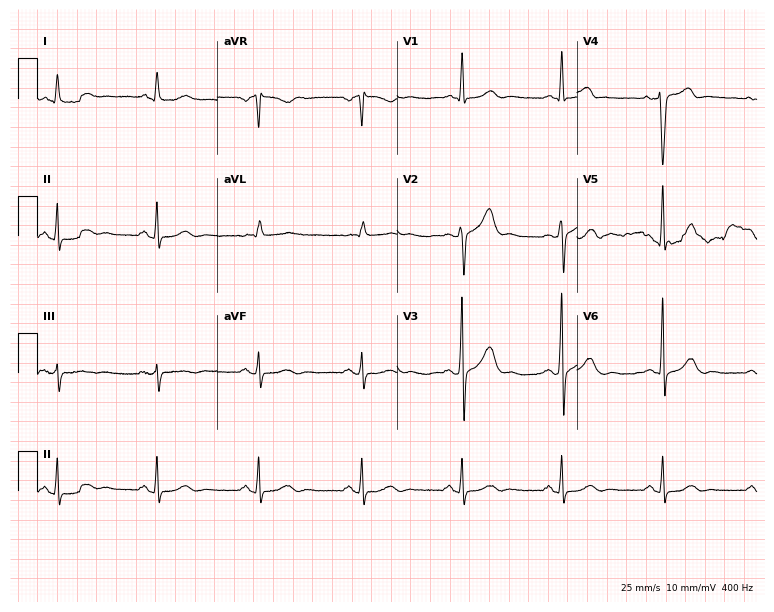
12-lead ECG from a 65-year-old man. Labelled as a normal ECG.